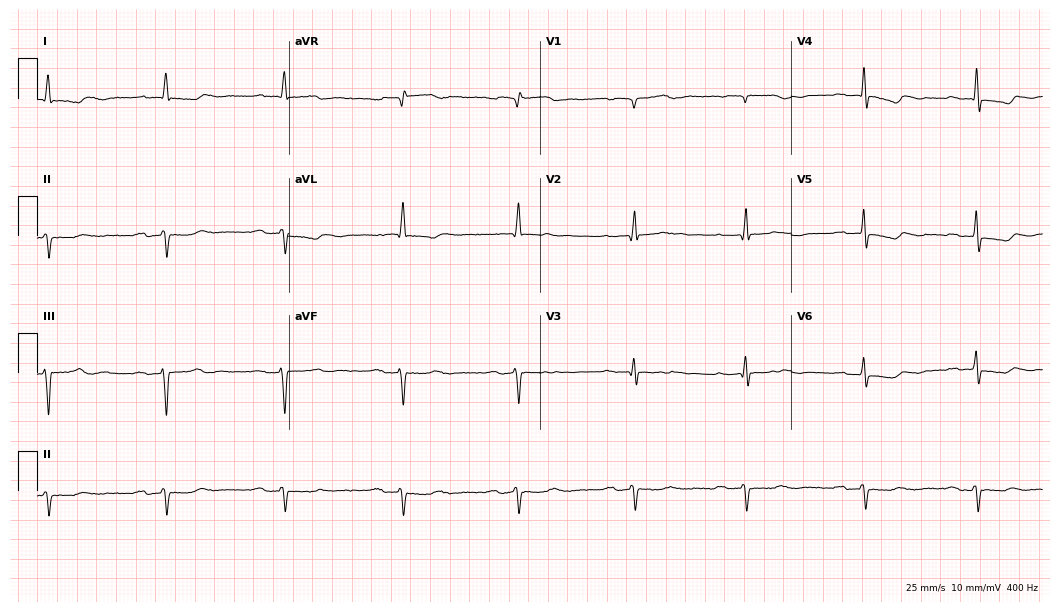
Standard 12-lead ECG recorded from a man, 74 years old (10.2-second recording at 400 Hz). Read as a normal ECG.